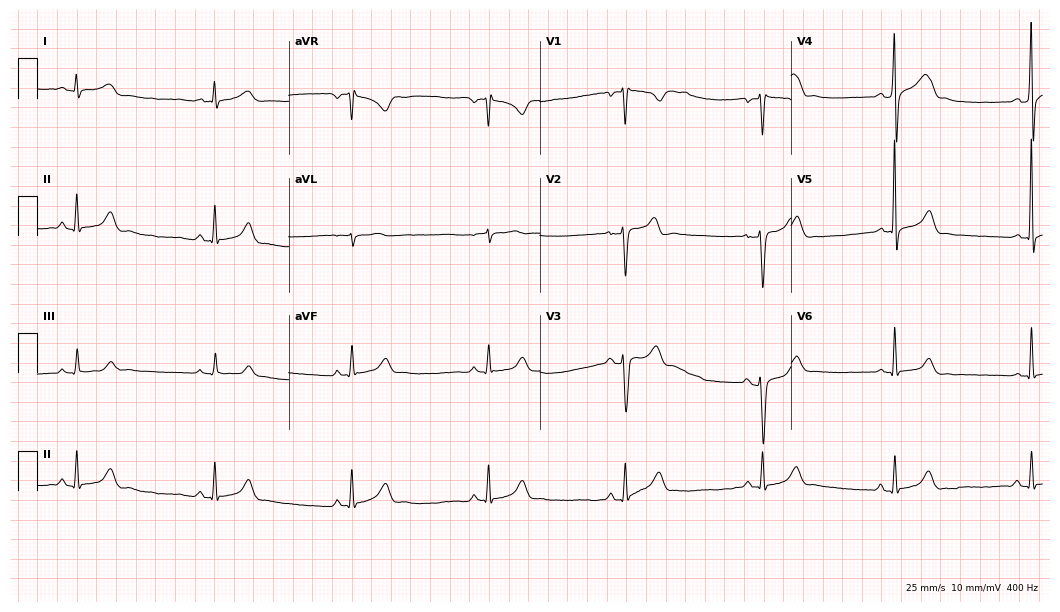
Resting 12-lead electrocardiogram. Patient: a male, 42 years old. The tracing shows sinus bradycardia (a sinus rate of 50 beats per minute or less).